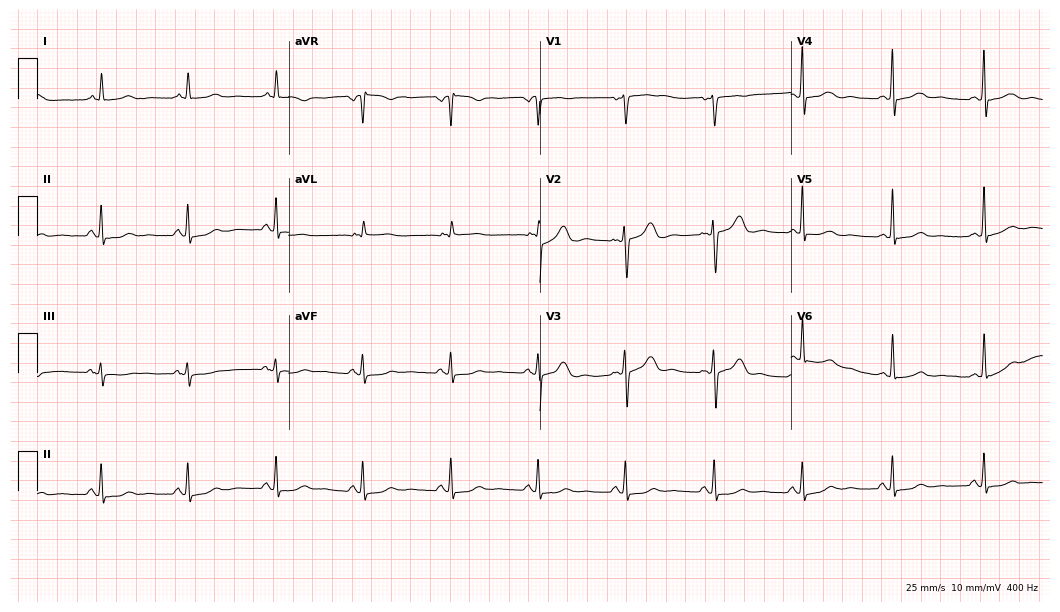
Standard 12-lead ECG recorded from a 60-year-old female (10.2-second recording at 400 Hz). None of these six findings is recorded: first-degree AV block, right bundle branch block (RBBB), left bundle branch block (LBBB), sinus bradycardia, atrial fibrillation (AF), sinus tachycardia. Other findings, if any, are not listed.